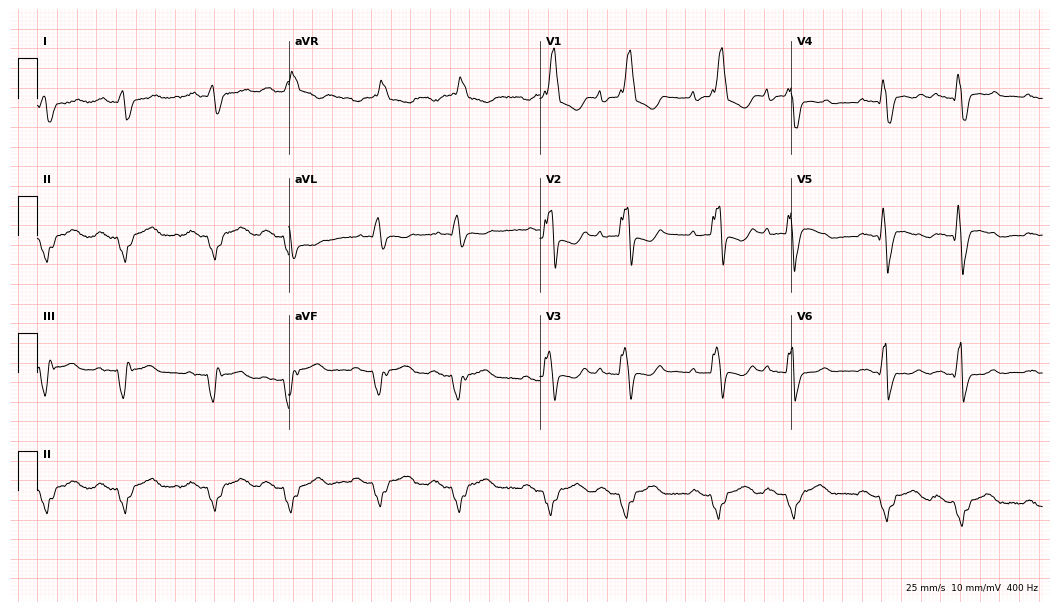
12-lead ECG (10.2-second recording at 400 Hz) from a male, 66 years old. Findings include first-degree AV block, right bundle branch block.